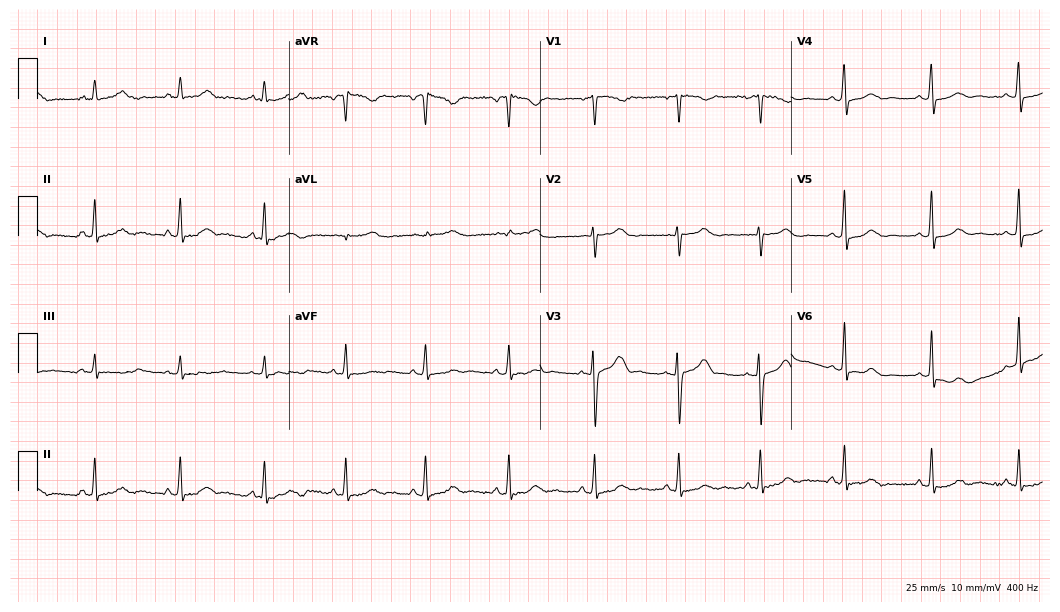
Resting 12-lead electrocardiogram (10.2-second recording at 400 Hz). Patient: a 33-year-old woman. Read as a normal ECG.